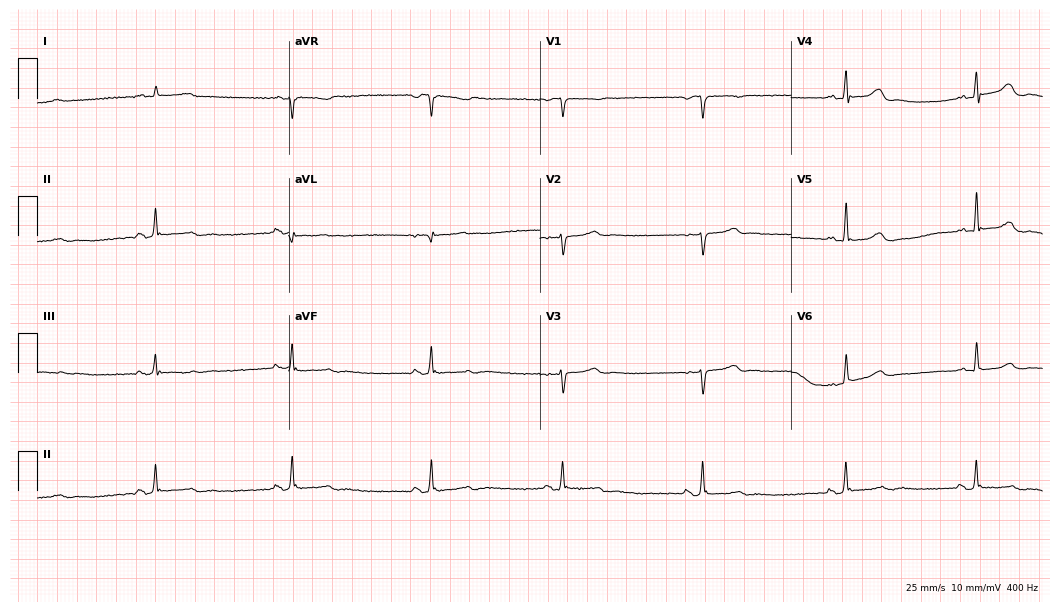
Electrocardiogram, a 61-year-old man. Interpretation includes sinus bradycardia (a sinus rate of 50 beats per minute or less).